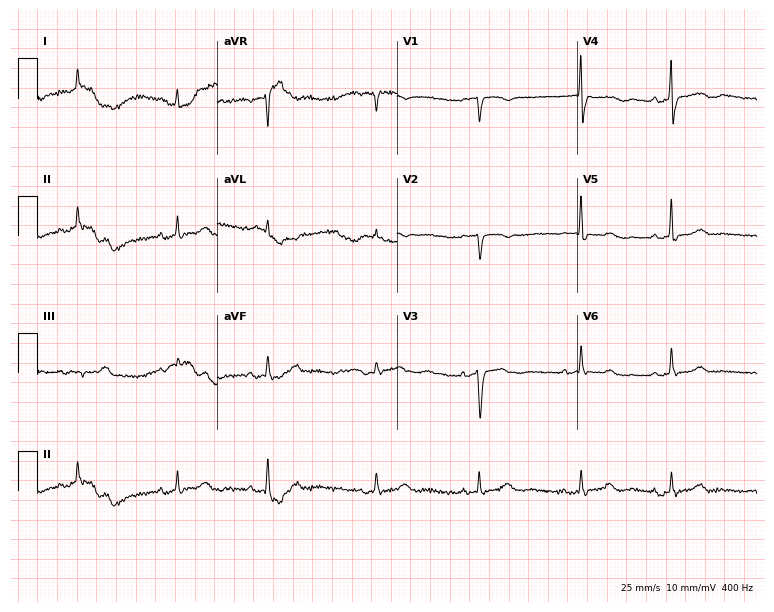
12-lead ECG (7.3-second recording at 400 Hz) from an 81-year-old female. Screened for six findings — first-degree AV block, right bundle branch block (RBBB), left bundle branch block (LBBB), sinus bradycardia, atrial fibrillation (AF), sinus tachycardia — none is recorded. Other findings, if any, are not listed.